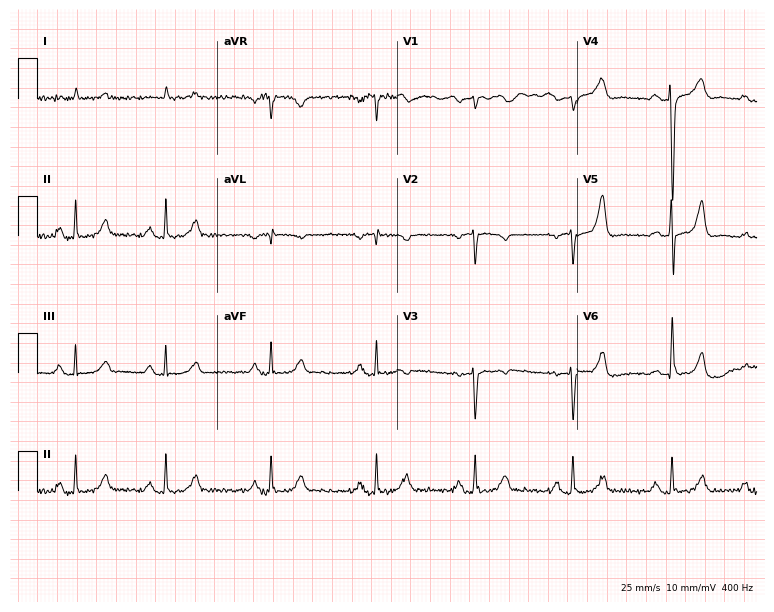
Standard 12-lead ECG recorded from a woman, 77 years old (7.3-second recording at 400 Hz). None of these six findings is recorded: first-degree AV block, right bundle branch block (RBBB), left bundle branch block (LBBB), sinus bradycardia, atrial fibrillation (AF), sinus tachycardia. Only these six findings were labelled.